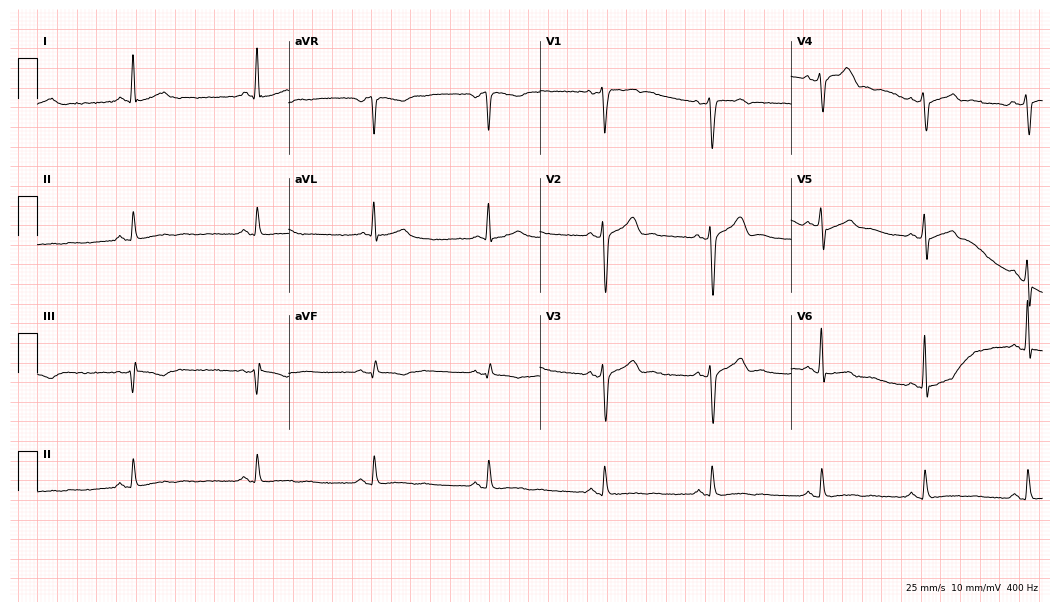
Resting 12-lead electrocardiogram. Patient: a man, 58 years old. None of these six findings is recorded: first-degree AV block, right bundle branch block (RBBB), left bundle branch block (LBBB), sinus bradycardia, atrial fibrillation (AF), sinus tachycardia.